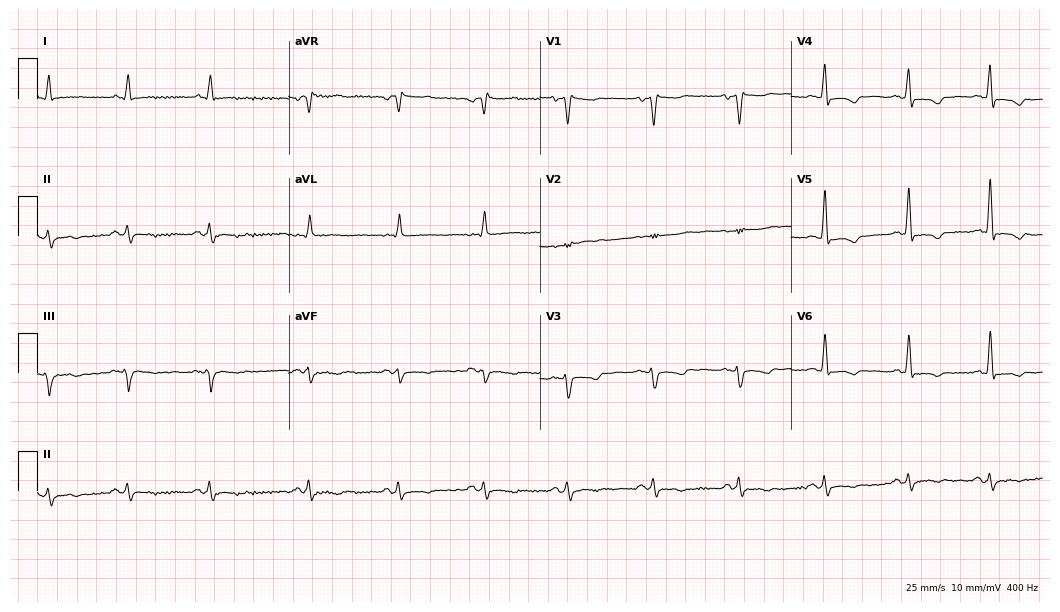
ECG — a 58-year-old woman. Screened for six findings — first-degree AV block, right bundle branch block, left bundle branch block, sinus bradycardia, atrial fibrillation, sinus tachycardia — none is recorded. Only these six findings were labelled.